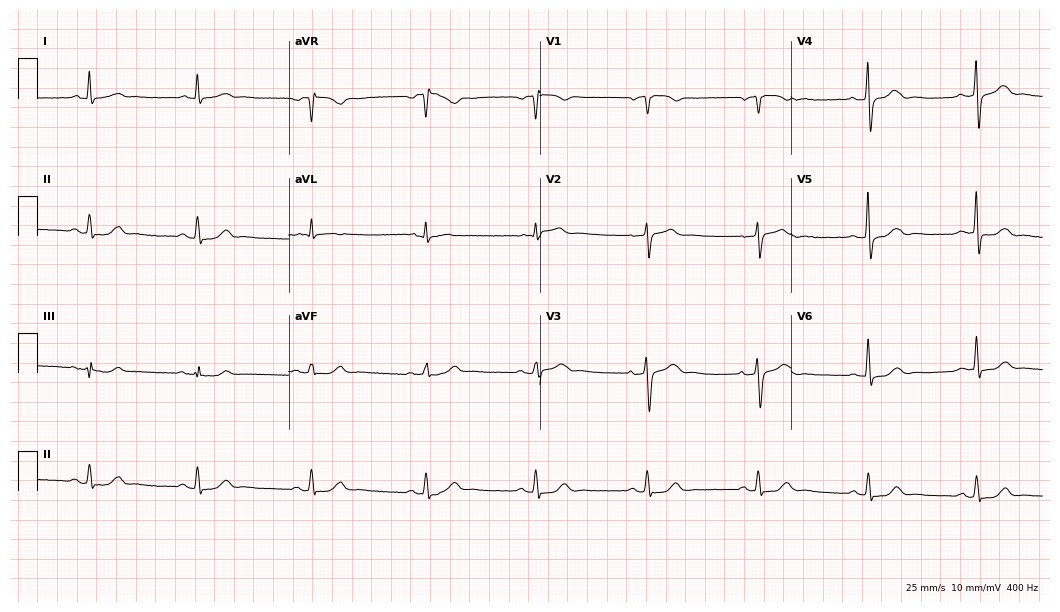
Standard 12-lead ECG recorded from a male patient, 72 years old. Read as a normal ECG.